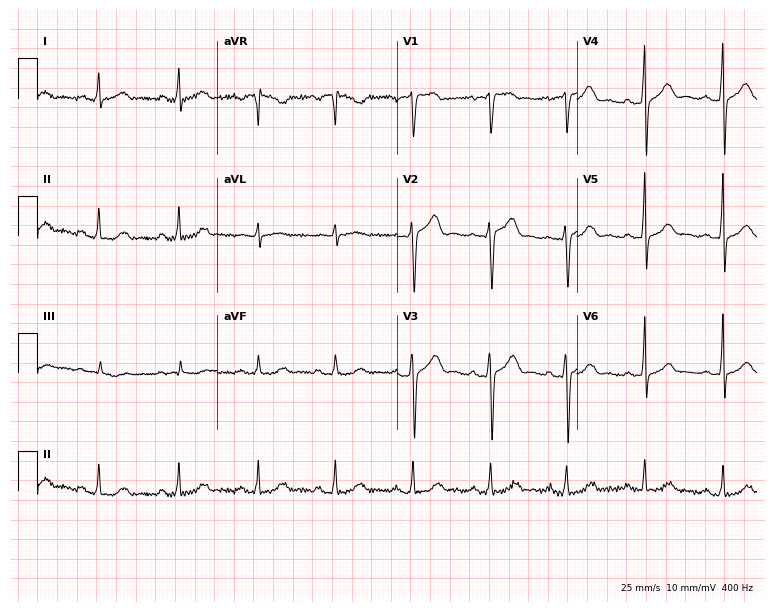
ECG (7.3-second recording at 400 Hz) — a 42-year-old female. Screened for six findings — first-degree AV block, right bundle branch block, left bundle branch block, sinus bradycardia, atrial fibrillation, sinus tachycardia — none is recorded.